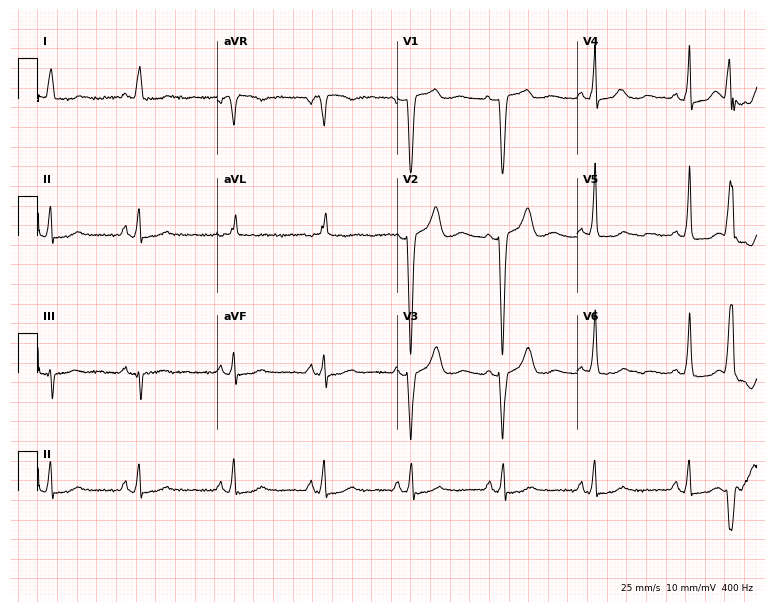
Standard 12-lead ECG recorded from a 73-year-old female patient. None of these six findings is recorded: first-degree AV block, right bundle branch block, left bundle branch block, sinus bradycardia, atrial fibrillation, sinus tachycardia.